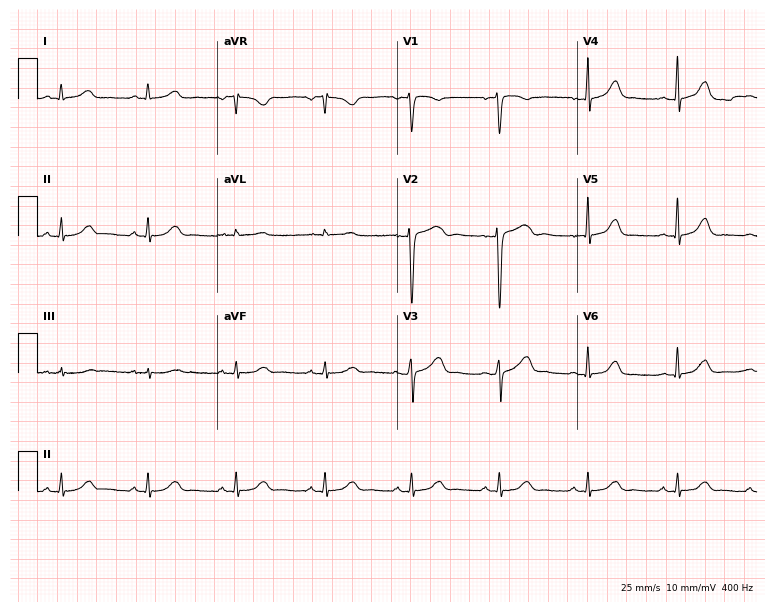
Resting 12-lead electrocardiogram (7.3-second recording at 400 Hz). Patient: a 35-year-old woman. Read as a normal ECG.